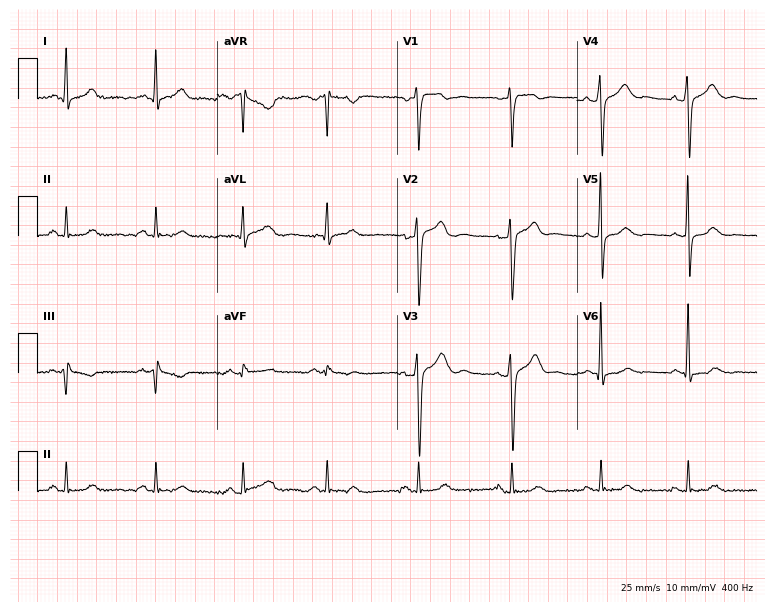
12-lead ECG from a male, 28 years old (7.3-second recording at 400 Hz). Recorded interpretation: within normal limits.